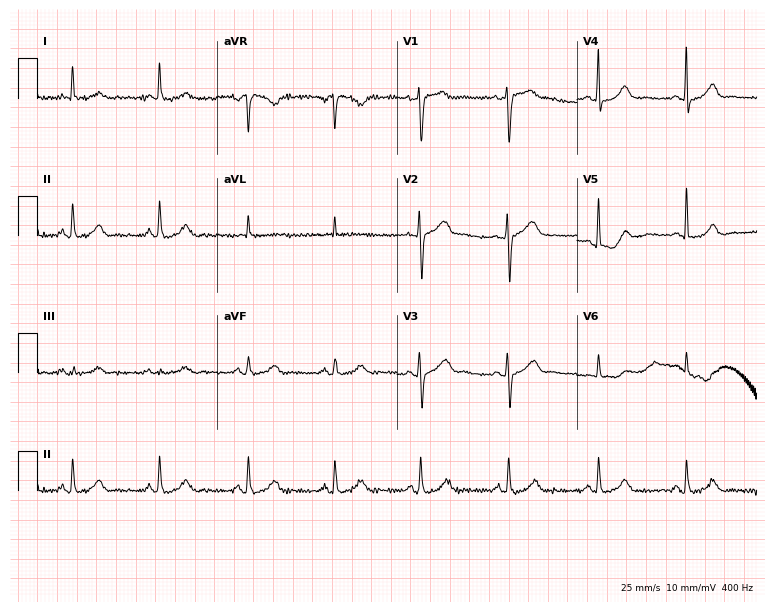
Resting 12-lead electrocardiogram (7.3-second recording at 400 Hz). Patient: a female, 31 years old. Read as a normal ECG.